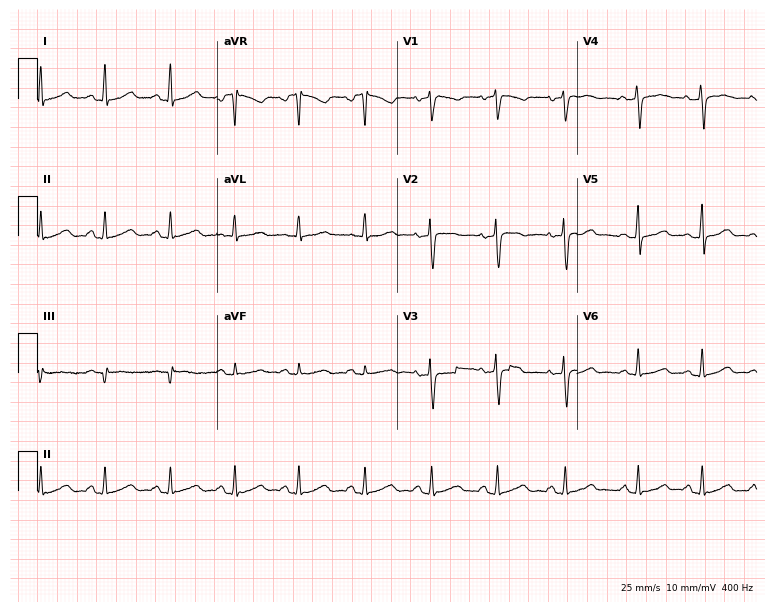
Electrocardiogram (7.3-second recording at 400 Hz), a 43-year-old woman. Overall reading on record: normal ECG.